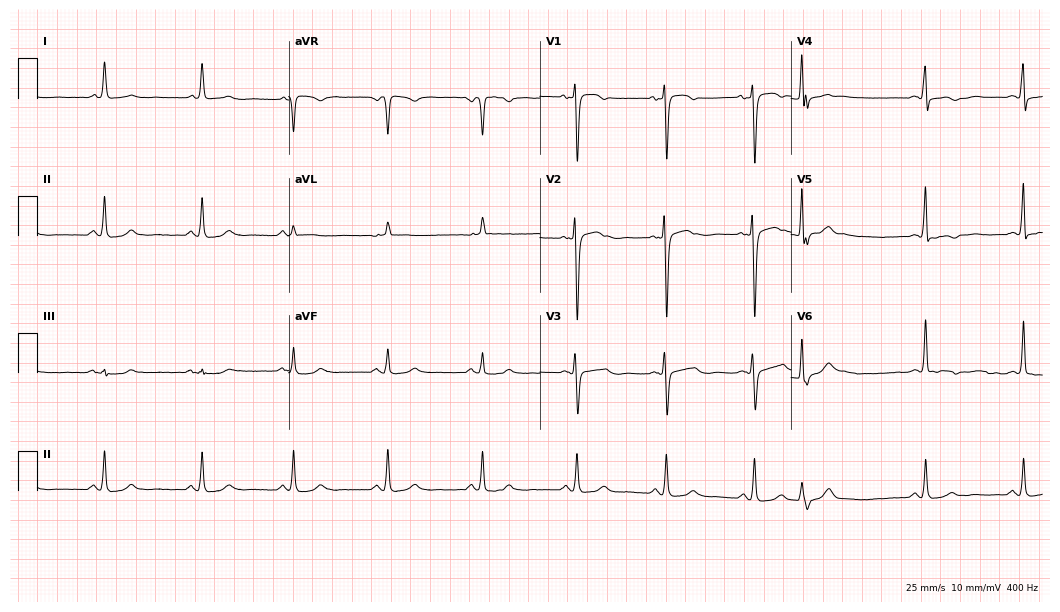
Resting 12-lead electrocardiogram (10.2-second recording at 400 Hz). Patient: a 65-year-old woman. Read as a normal ECG.